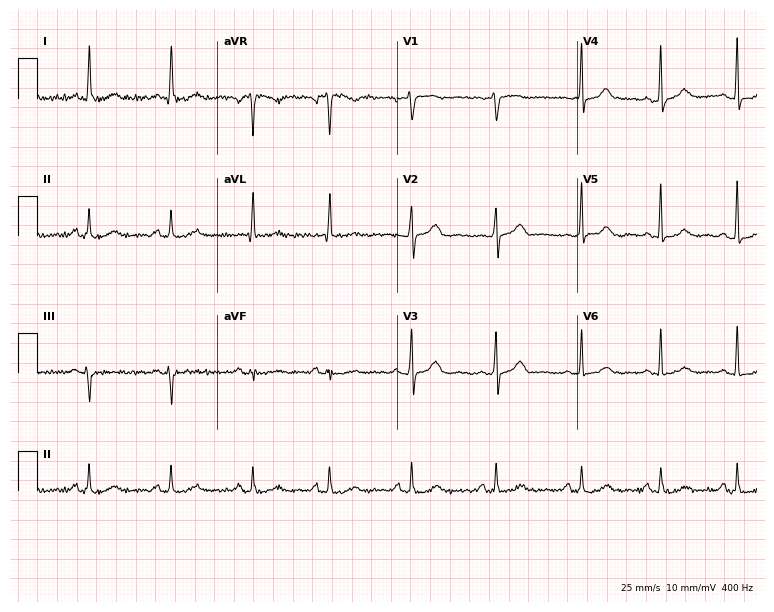
12-lead ECG from a female patient, 61 years old (7.3-second recording at 400 Hz). Recorded interpretation: within normal limits.